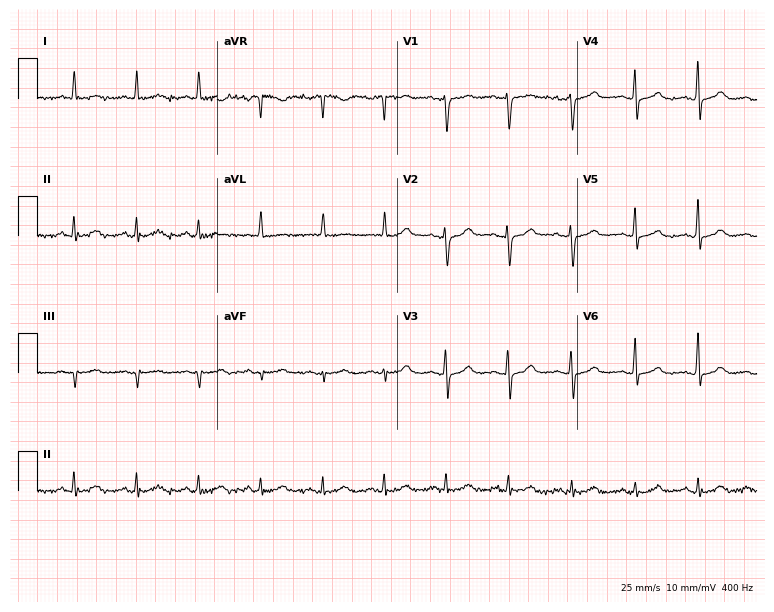
Resting 12-lead electrocardiogram. Patient: a woman, 58 years old. None of these six findings is recorded: first-degree AV block, right bundle branch block, left bundle branch block, sinus bradycardia, atrial fibrillation, sinus tachycardia. Other findings, if any, are not listed.